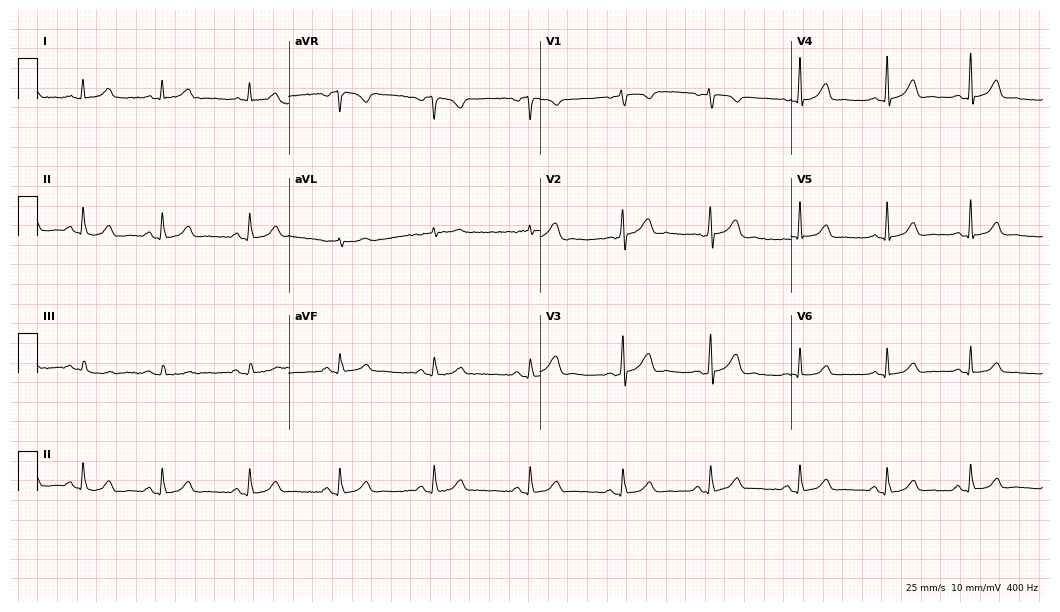
12-lead ECG from a female patient, 39 years old. Labelled as a normal ECG.